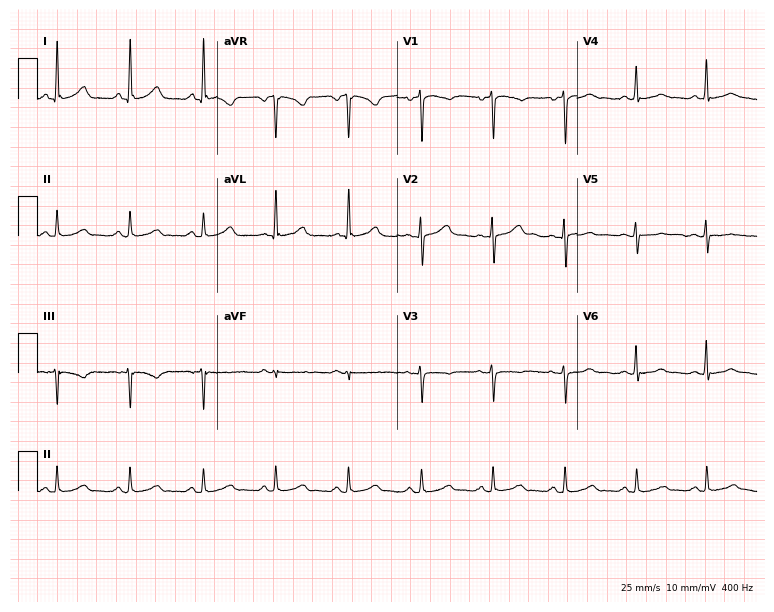
12-lead ECG (7.3-second recording at 400 Hz) from a 44-year-old man. Screened for six findings — first-degree AV block, right bundle branch block, left bundle branch block, sinus bradycardia, atrial fibrillation, sinus tachycardia — none is recorded. Other findings, if any, are not listed.